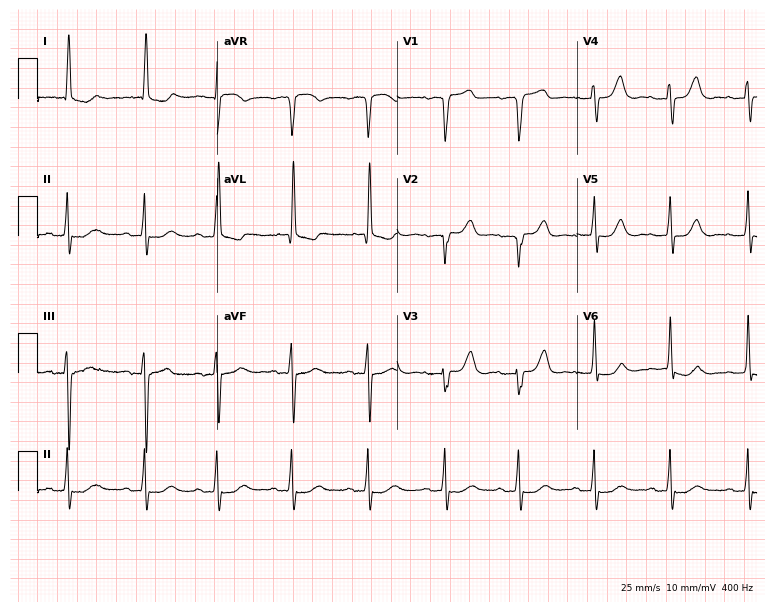
Resting 12-lead electrocardiogram (7.3-second recording at 400 Hz). Patient: a female, 84 years old. None of these six findings is recorded: first-degree AV block, right bundle branch block (RBBB), left bundle branch block (LBBB), sinus bradycardia, atrial fibrillation (AF), sinus tachycardia. Other findings, if any, are not listed.